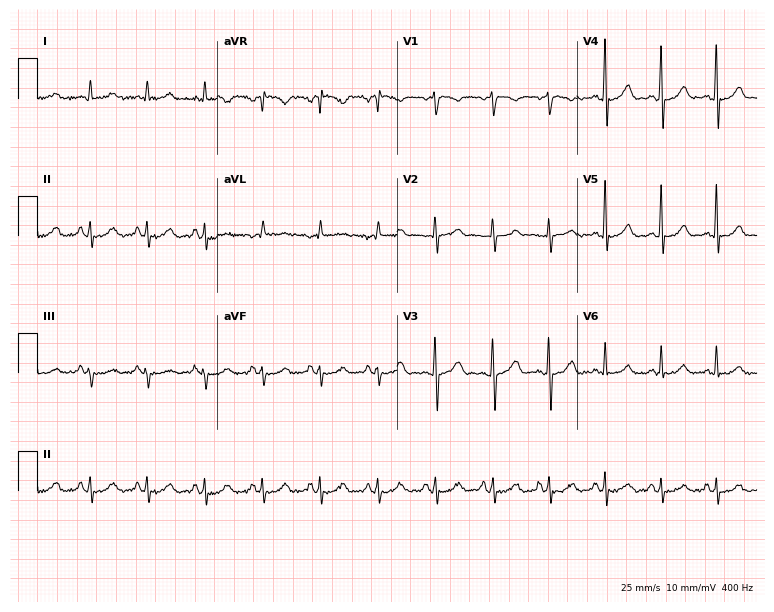
Standard 12-lead ECG recorded from a male, 71 years old (7.3-second recording at 400 Hz). The tracing shows sinus tachycardia (a sinus rate of 100 beats per minute or more).